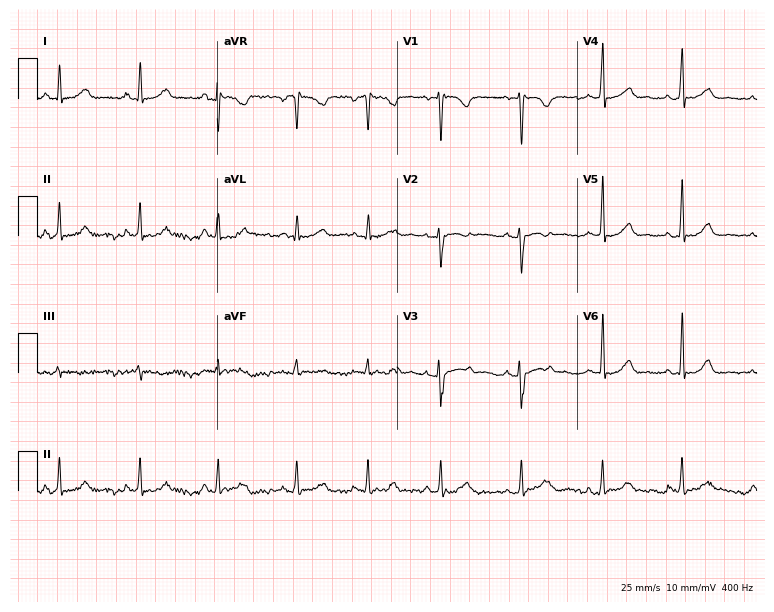
Standard 12-lead ECG recorded from a female patient, 24 years old. Read as a normal ECG.